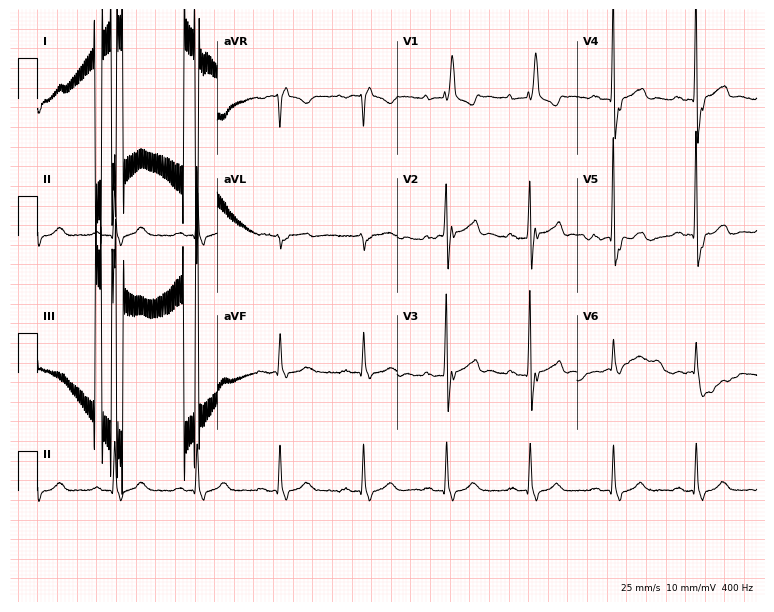
ECG (7.3-second recording at 400 Hz) — a 73-year-old male patient. Findings include right bundle branch block.